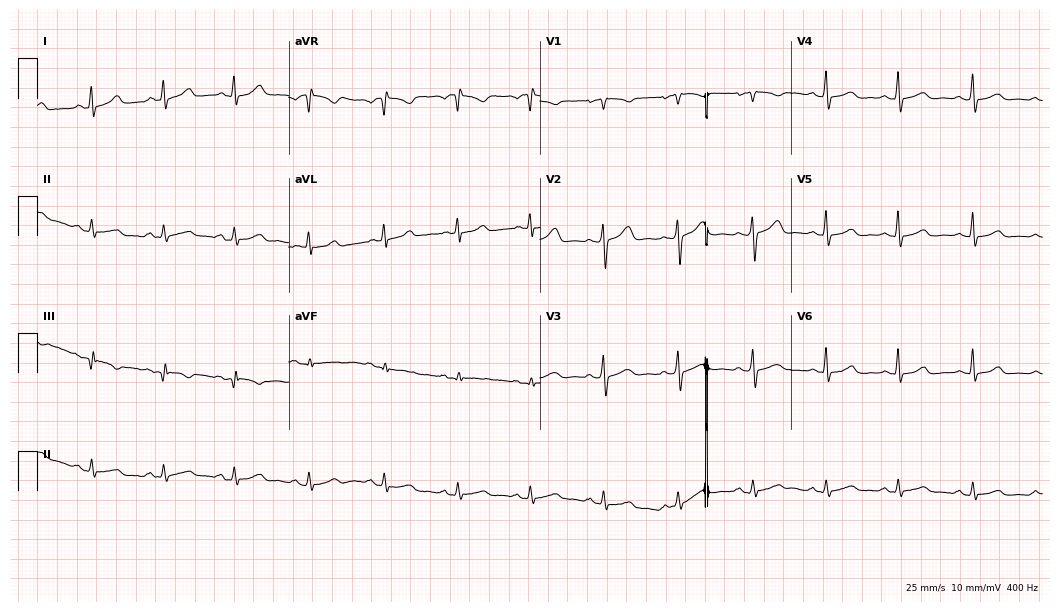
Resting 12-lead electrocardiogram (10.2-second recording at 400 Hz). Patient: a woman, 36 years old. Read as a normal ECG.